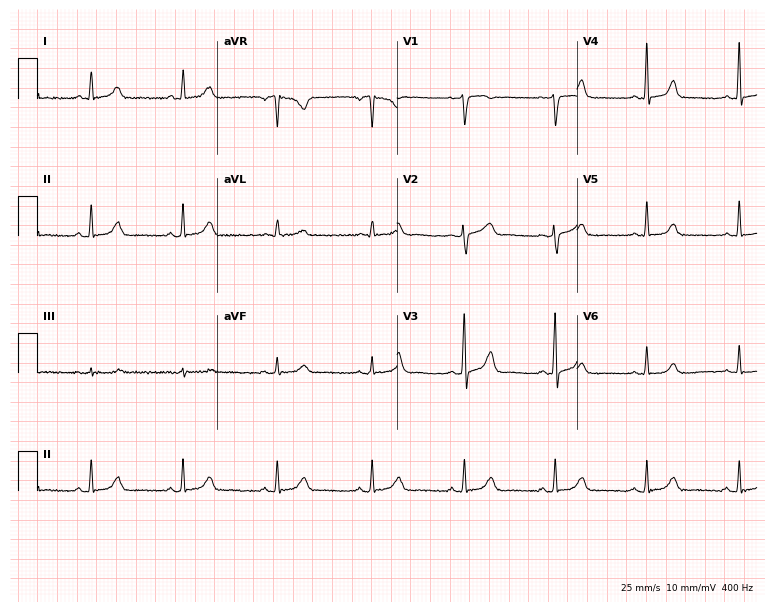
ECG — a female patient, 46 years old. Labelled as a normal ECG.